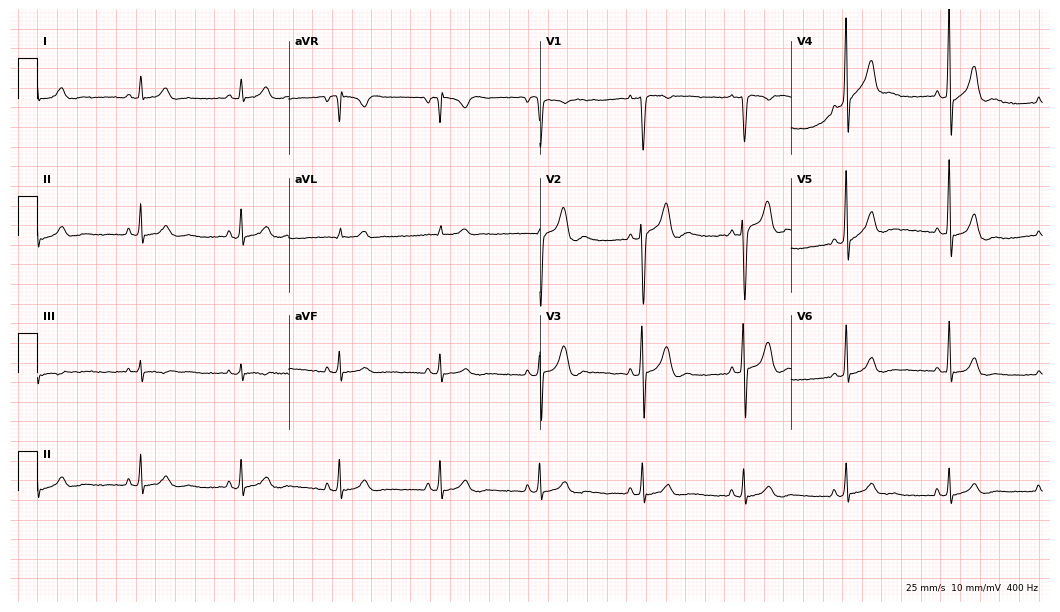
12-lead ECG from a 19-year-old man. Labelled as a normal ECG.